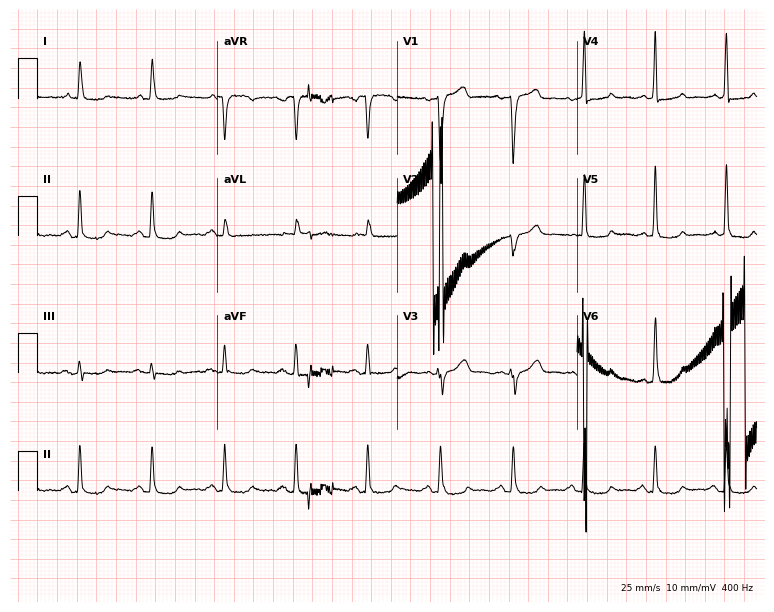
12-lead ECG from a 67-year-old male patient (7.3-second recording at 400 Hz). No first-degree AV block, right bundle branch block, left bundle branch block, sinus bradycardia, atrial fibrillation or sinus tachycardia recorded for this tracing.